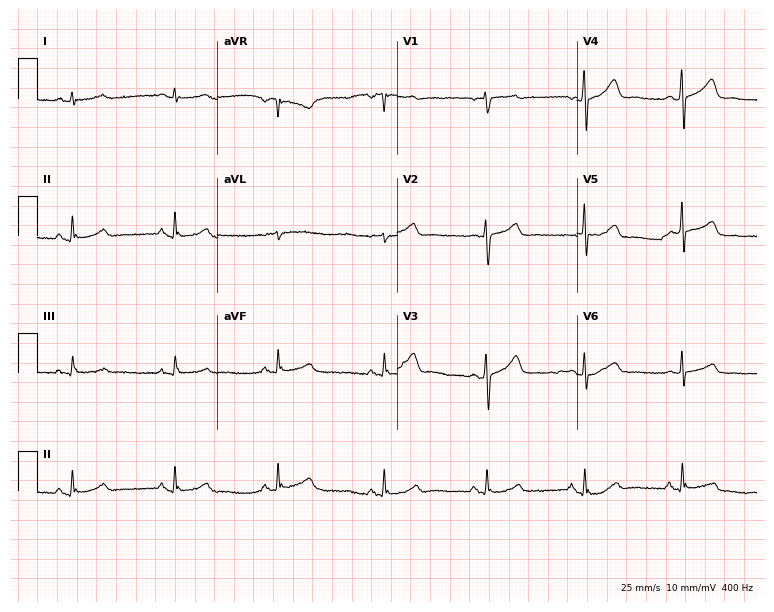
Standard 12-lead ECG recorded from a man, 65 years old. None of these six findings is recorded: first-degree AV block, right bundle branch block, left bundle branch block, sinus bradycardia, atrial fibrillation, sinus tachycardia.